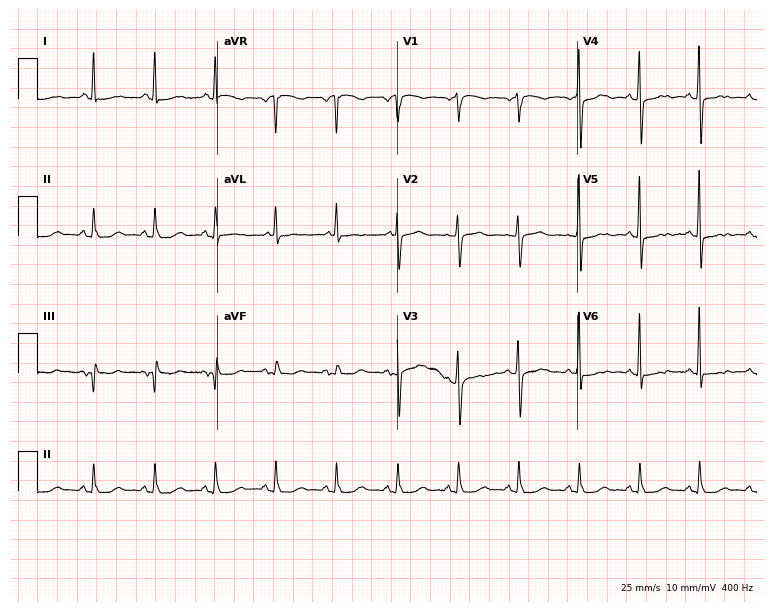
12-lead ECG from a 71-year-old female. Screened for six findings — first-degree AV block, right bundle branch block, left bundle branch block, sinus bradycardia, atrial fibrillation, sinus tachycardia — none is recorded. Findings outside these six are not listed.